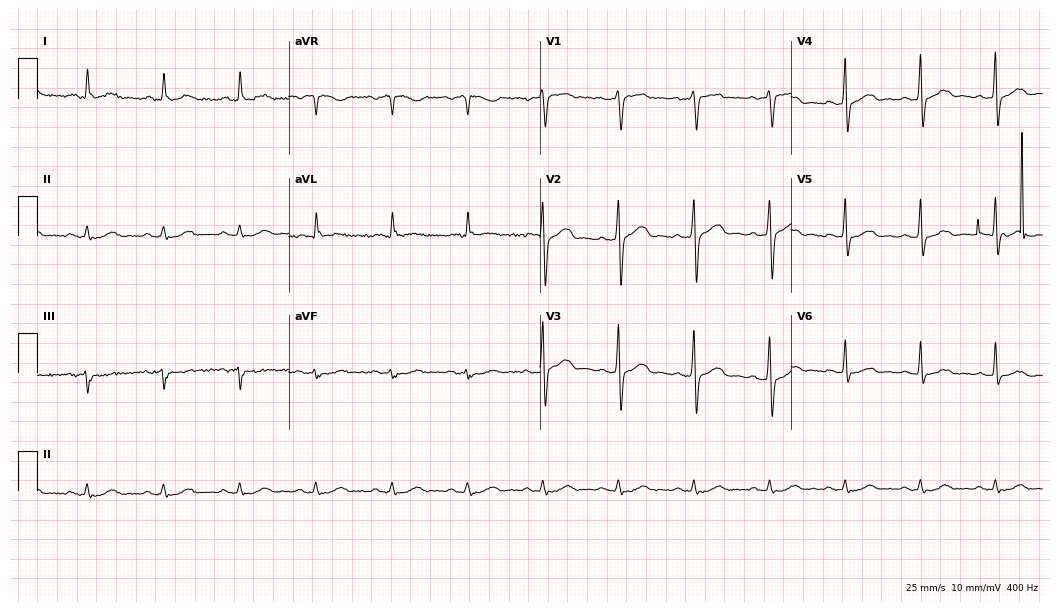
Standard 12-lead ECG recorded from a 57-year-old male patient. Read as a normal ECG.